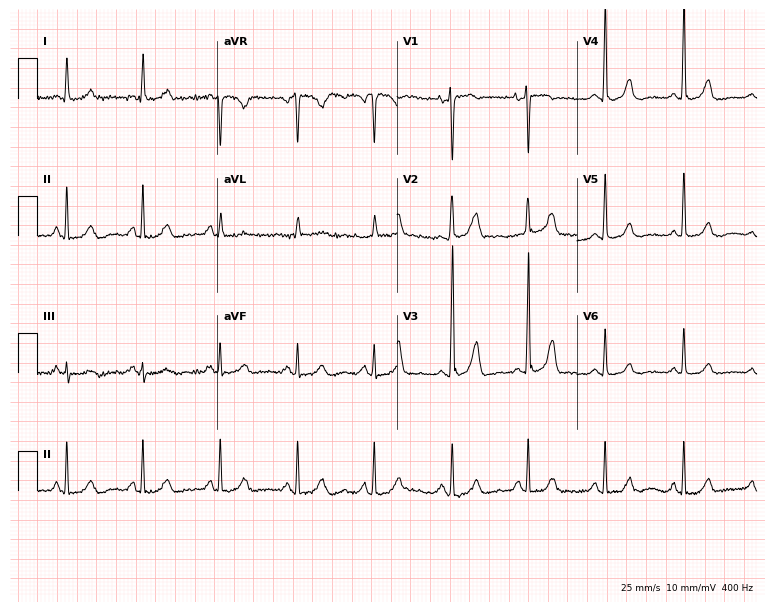
Resting 12-lead electrocardiogram (7.3-second recording at 400 Hz). Patient: a female, 70 years old. Read as a normal ECG.